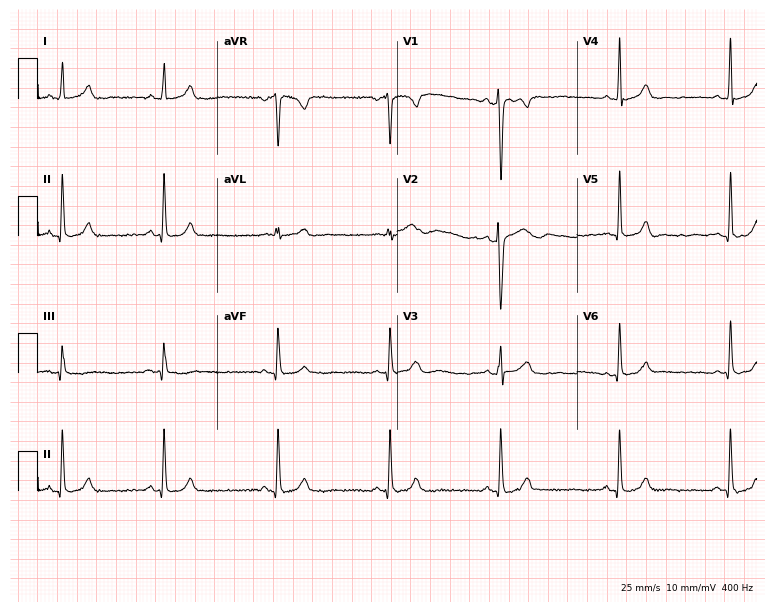
Resting 12-lead electrocardiogram. Patient: a female, 21 years old. None of these six findings is recorded: first-degree AV block, right bundle branch block (RBBB), left bundle branch block (LBBB), sinus bradycardia, atrial fibrillation (AF), sinus tachycardia. Only these six findings were labelled.